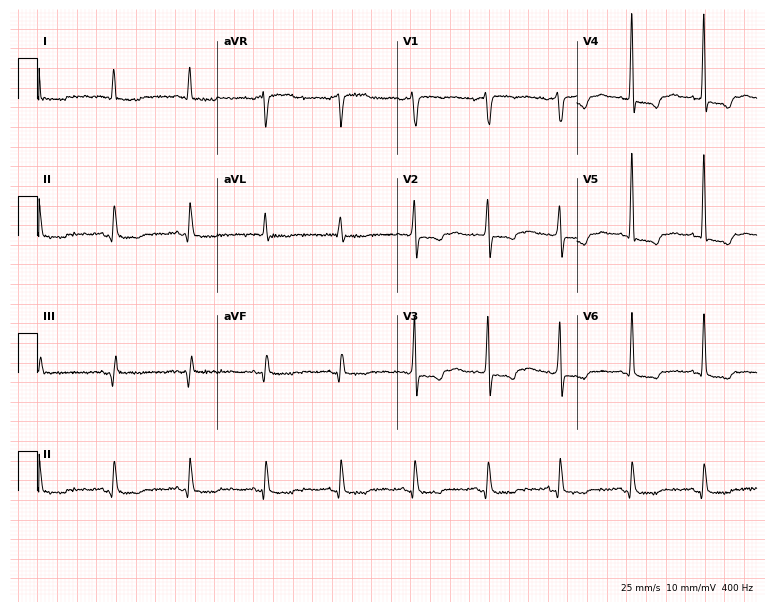
12-lead ECG from a 67-year-old male patient. No first-degree AV block, right bundle branch block, left bundle branch block, sinus bradycardia, atrial fibrillation or sinus tachycardia recorded for this tracing. Findings outside these six are not listed.